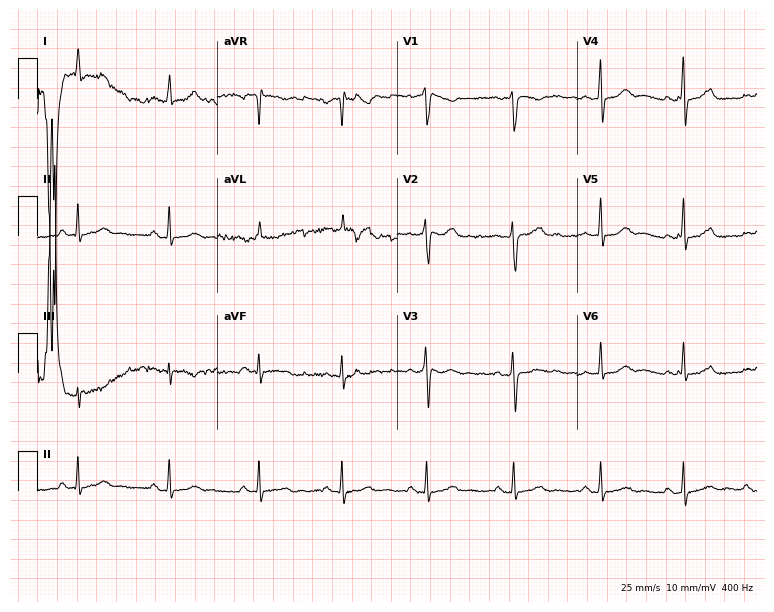
Resting 12-lead electrocardiogram (7.3-second recording at 400 Hz). Patient: a woman, 23 years old. Read as a normal ECG.